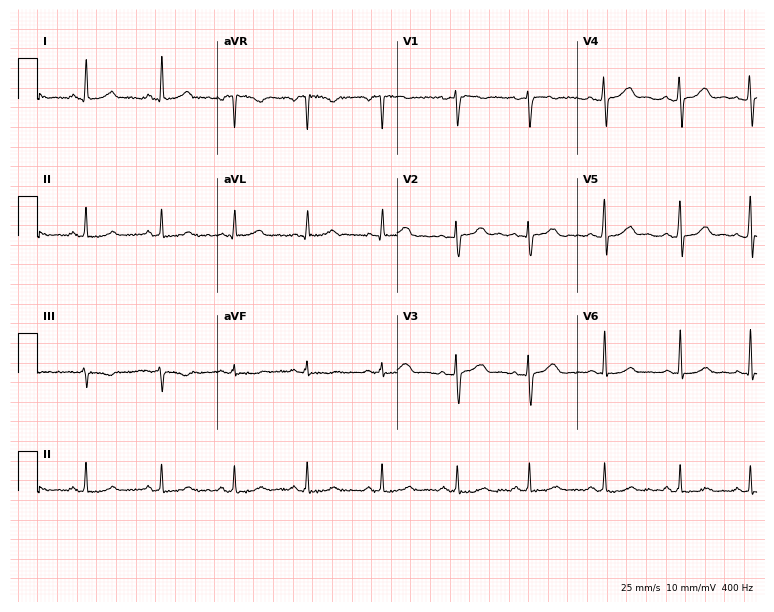
12-lead ECG (7.3-second recording at 400 Hz) from a female, 41 years old. Labelled as a normal ECG.